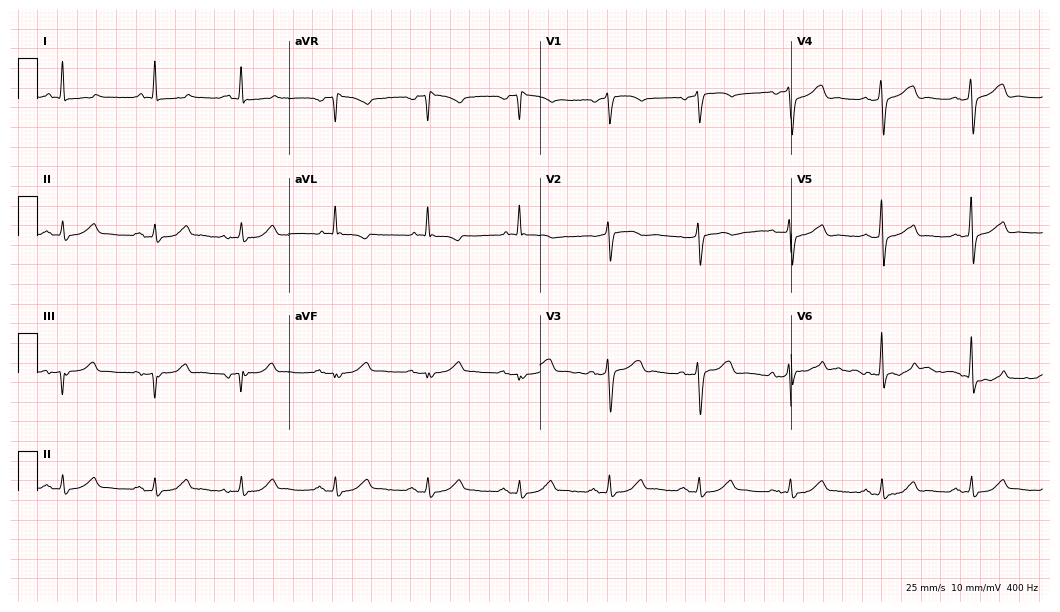
Standard 12-lead ECG recorded from a 79-year-old female. Read as a normal ECG.